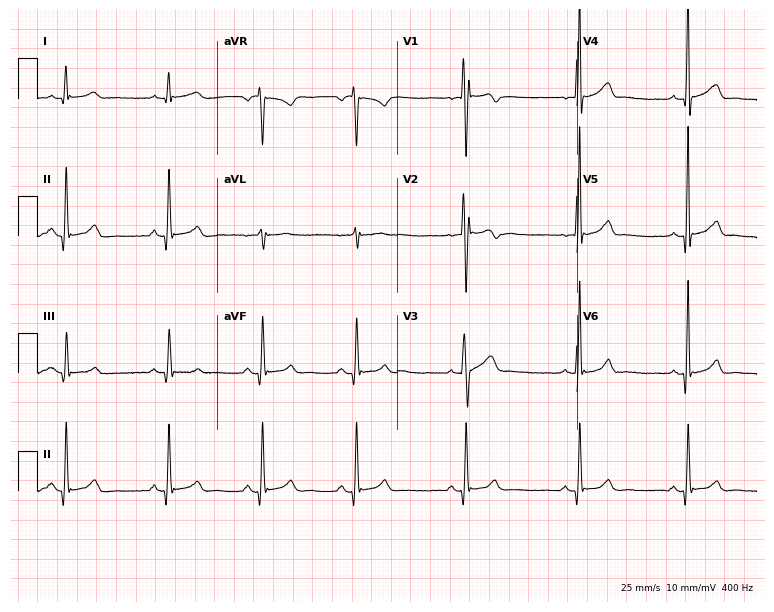
Standard 12-lead ECG recorded from a 31-year-old man (7.3-second recording at 400 Hz). Read as a normal ECG.